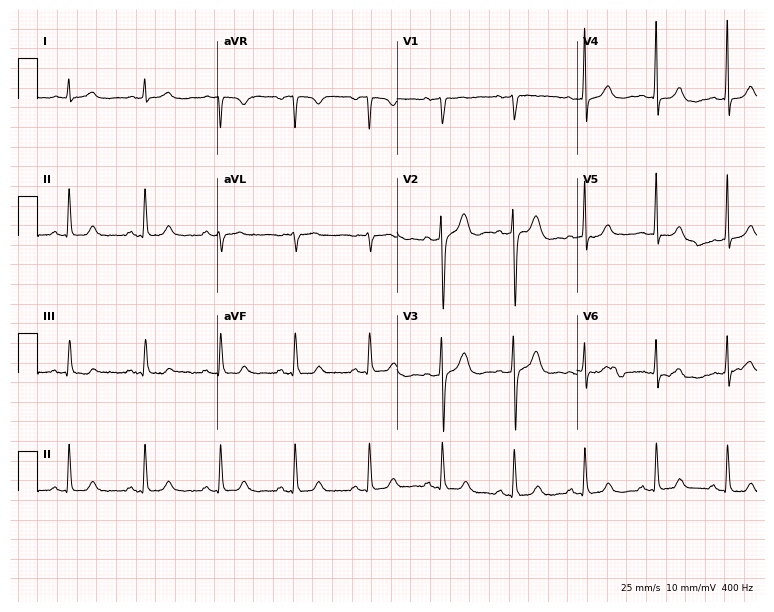
Electrocardiogram, a male patient, 41 years old. Of the six screened findings (first-degree AV block, right bundle branch block (RBBB), left bundle branch block (LBBB), sinus bradycardia, atrial fibrillation (AF), sinus tachycardia), none is recorded.